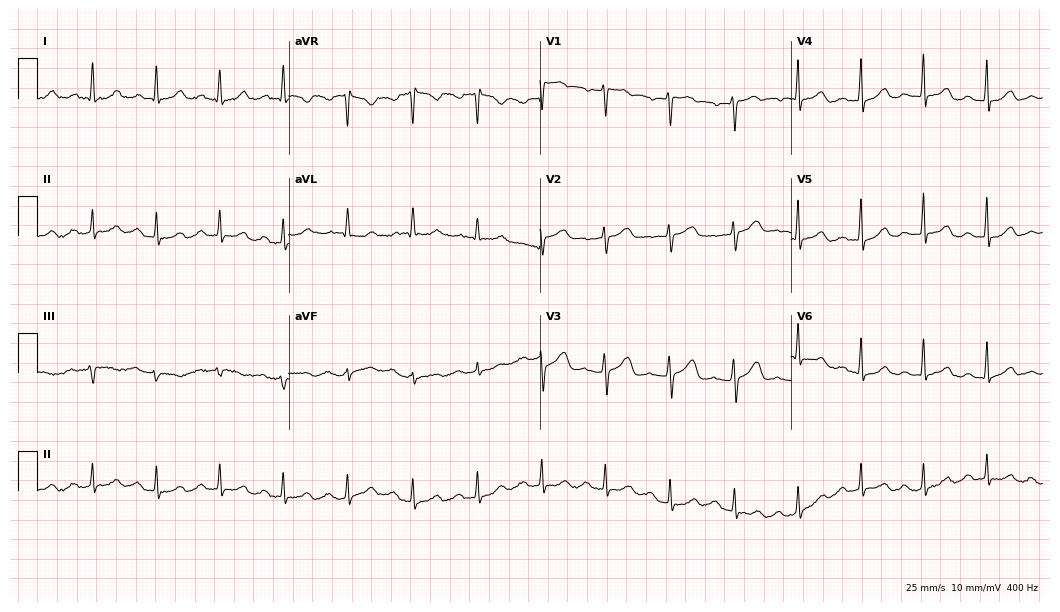
Electrocardiogram (10.2-second recording at 400 Hz), a 52-year-old female patient. Overall reading on record: normal ECG.